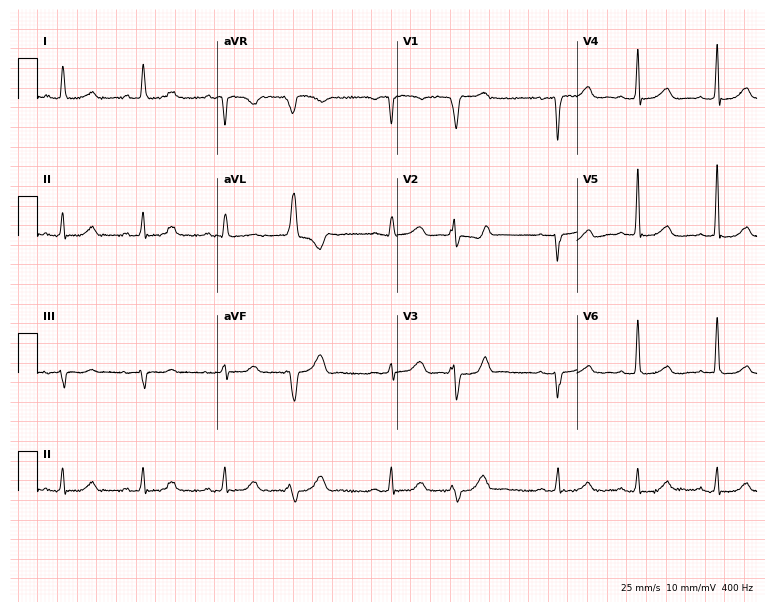
Electrocardiogram (7.3-second recording at 400 Hz), a 58-year-old female. Of the six screened findings (first-degree AV block, right bundle branch block (RBBB), left bundle branch block (LBBB), sinus bradycardia, atrial fibrillation (AF), sinus tachycardia), none is recorded. Other findings, if any, are not listed.